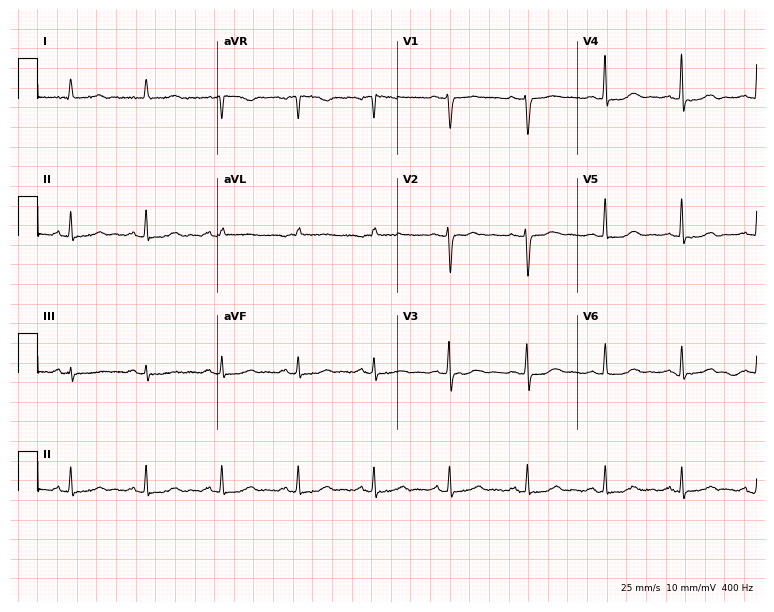
12-lead ECG from a female patient, 64 years old. No first-degree AV block, right bundle branch block (RBBB), left bundle branch block (LBBB), sinus bradycardia, atrial fibrillation (AF) or sinus tachycardia recorded for this tracing.